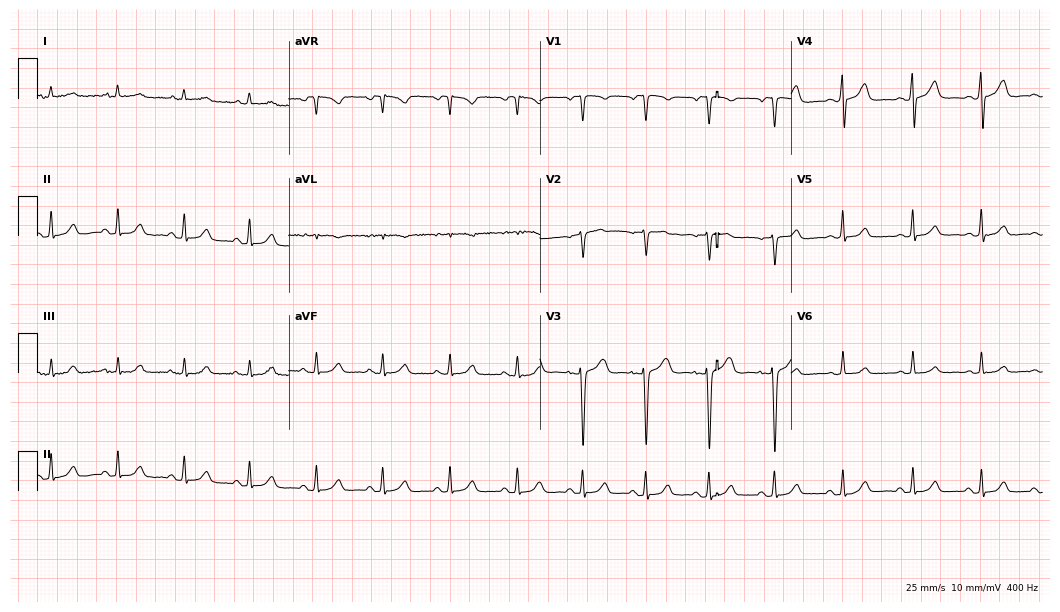
ECG — a man, 25 years old. Labelled as a normal ECG.